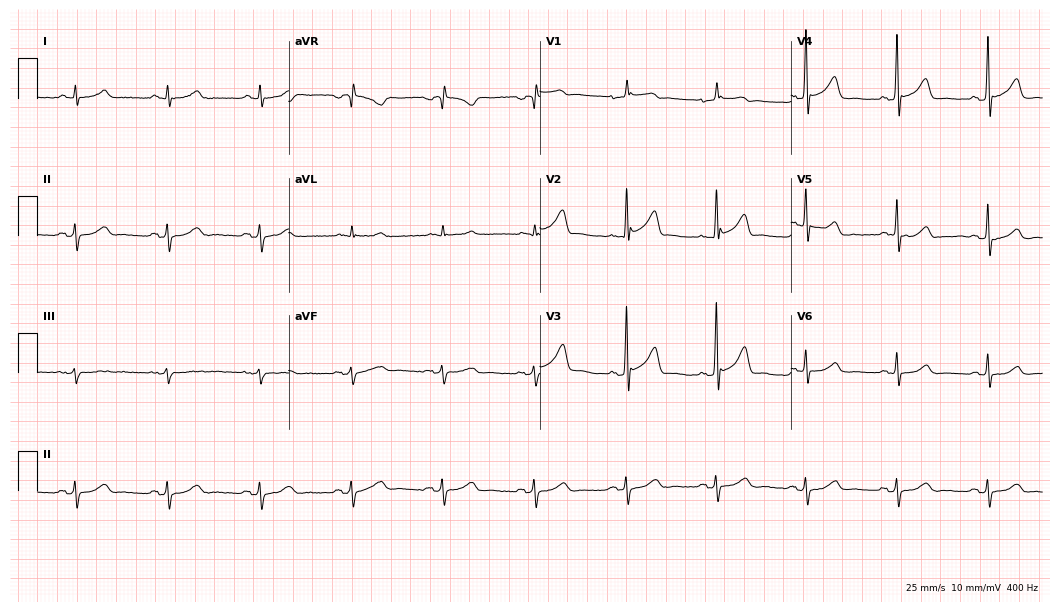
Electrocardiogram, a 62-year-old male patient. Of the six screened findings (first-degree AV block, right bundle branch block, left bundle branch block, sinus bradycardia, atrial fibrillation, sinus tachycardia), none is recorded.